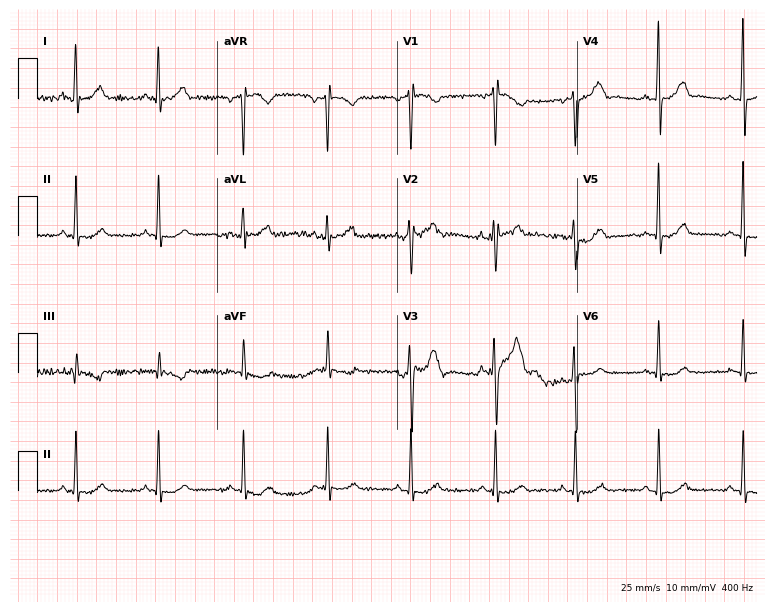
12-lead ECG from a male patient, 35 years old (7.3-second recording at 400 Hz). No first-degree AV block, right bundle branch block (RBBB), left bundle branch block (LBBB), sinus bradycardia, atrial fibrillation (AF) or sinus tachycardia recorded for this tracing.